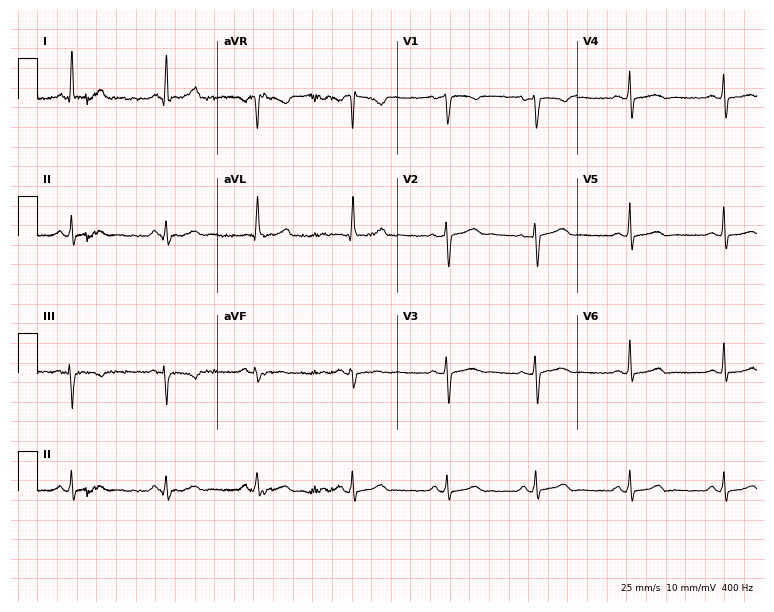
12-lead ECG from a 45-year-old female patient. Labelled as a normal ECG.